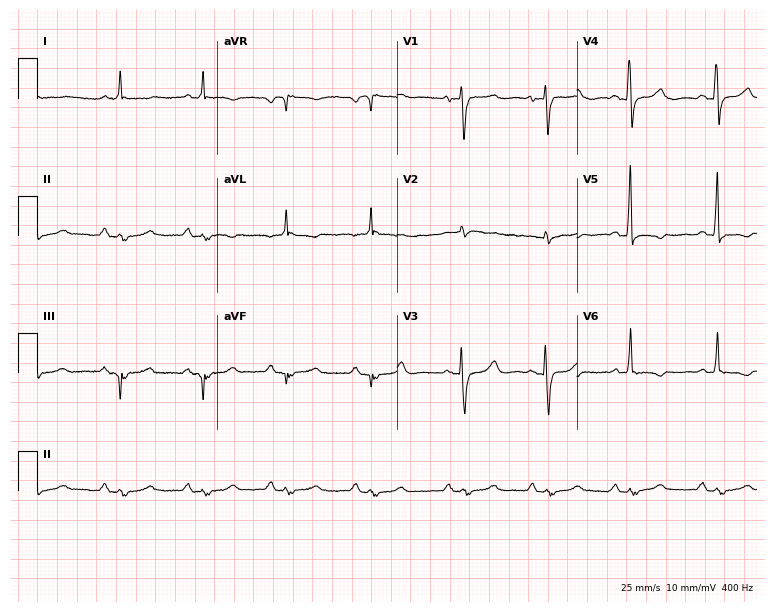
Electrocardiogram (7.3-second recording at 400 Hz), a woman, 69 years old. Of the six screened findings (first-degree AV block, right bundle branch block, left bundle branch block, sinus bradycardia, atrial fibrillation, sinus tachycardia), none is recorded.